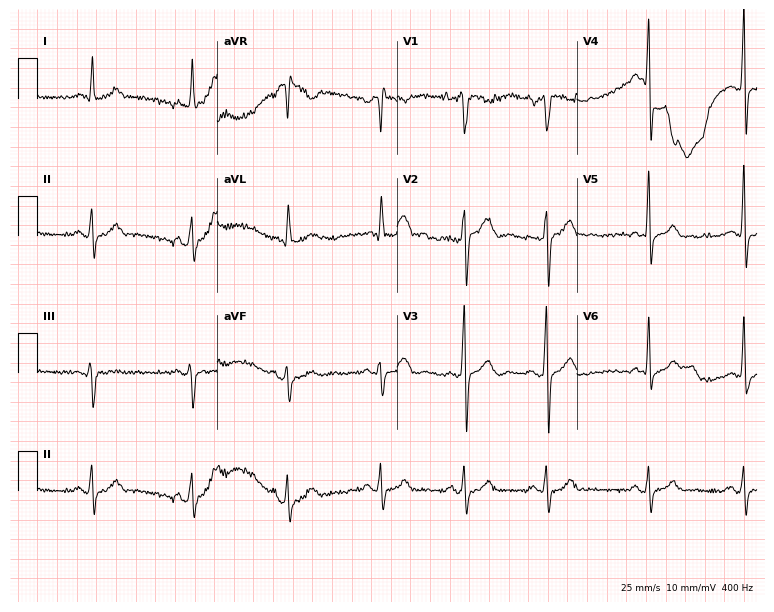
Electrocardiogram, a 31-year-old male patient. Overall reading on record: normal ECG.